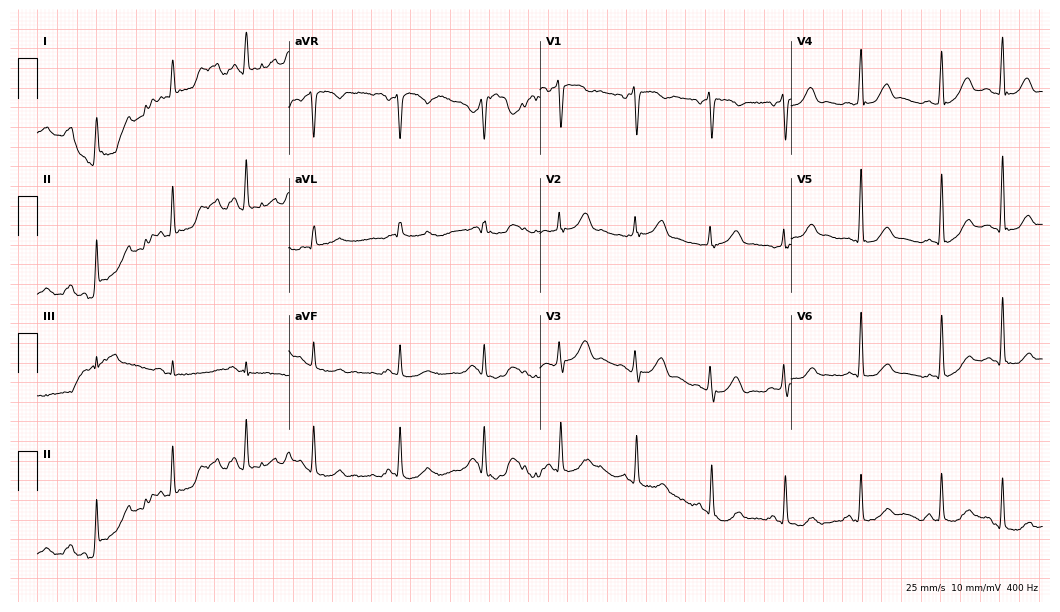
ECG (10.2-second recording at 400 Hz) — a 56-year-old man. Screened for six findings — first-degree AV block, right bundle branch block (RBBB), left bundle branch block (LBBB), sinus bradycardia, atrial fibrillation (AF), sinus tachycardia — none is recorded.